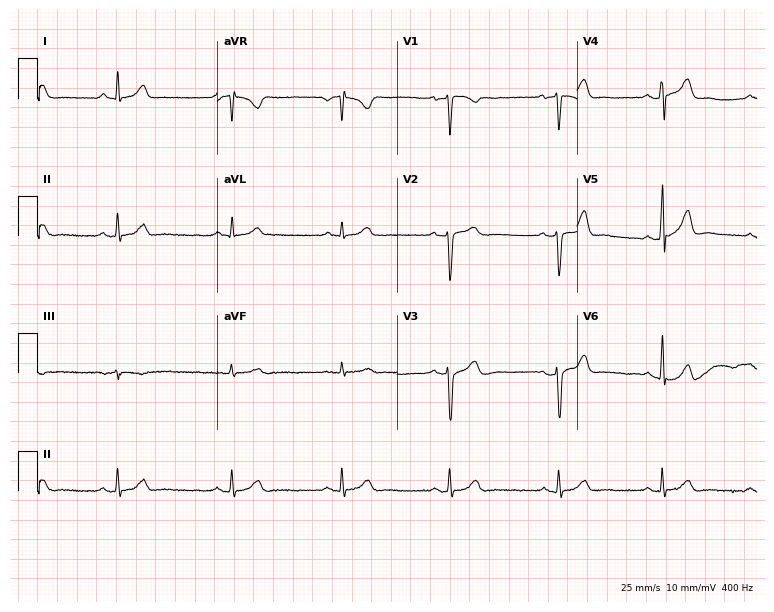
ECG (7.3-second recording at 400 Hz) — a male, 28 years old. Labelled as a normal ECG.